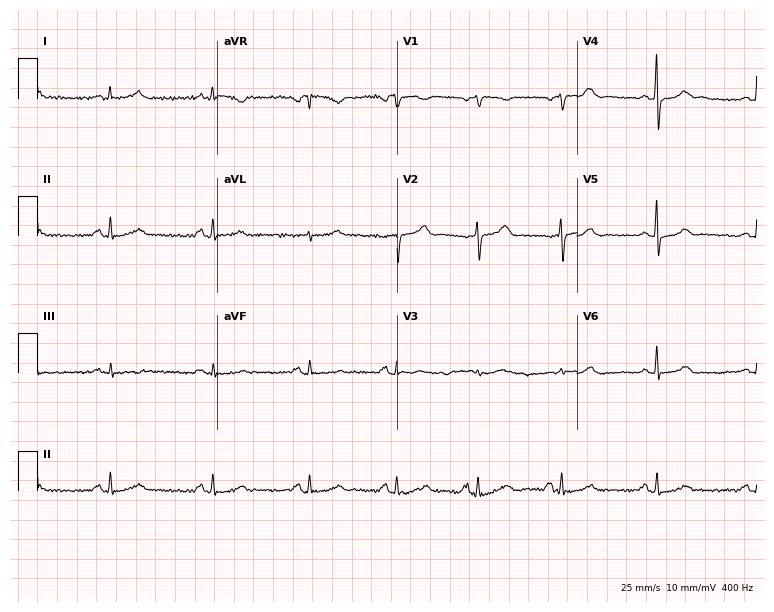
12-lead ECG from a 40-year-old female patient. Recorded interpretation: within normal limits.